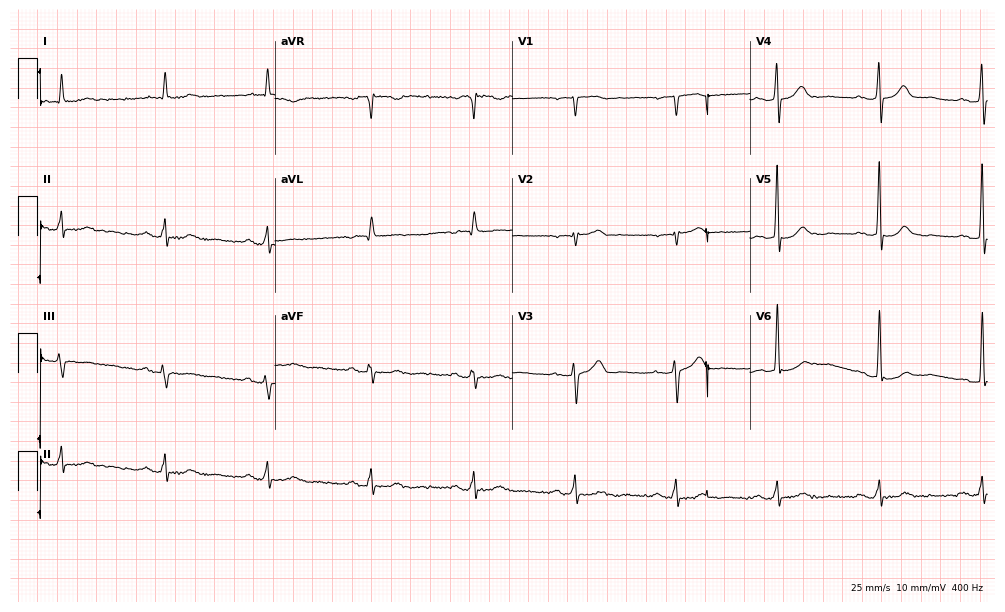
ECG — a 79-year-old male patient. Screened for six findings — first-degree AV block, right bundle branch block, left bundle branch block, sinus bradycardia, atrial fibrillation, sinus tachycardia — none is recorded.